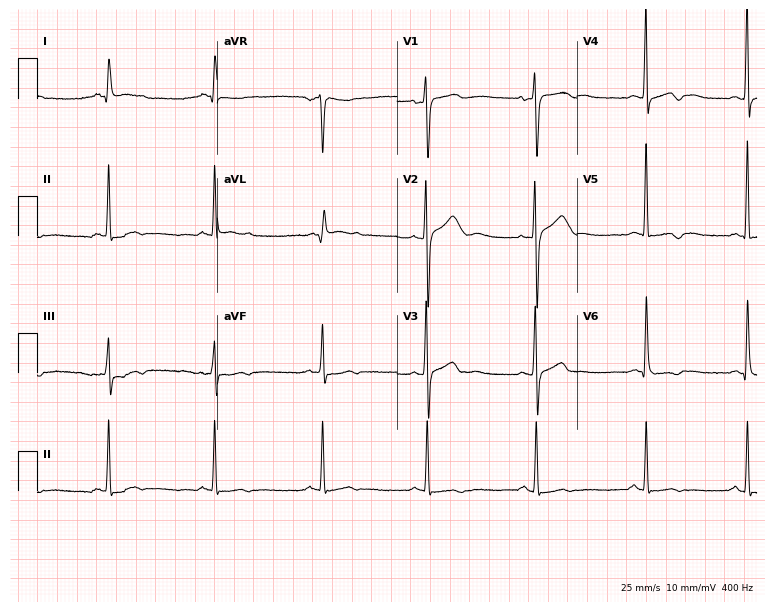
Standard 12-lead ECG recorded from a 51-year-old female. None of these six findings is recorded: first-degree AV block, right bundle branch block, left bundle branch block, sinus bradycardia, atrial fibrillation, sinus tachycardia.